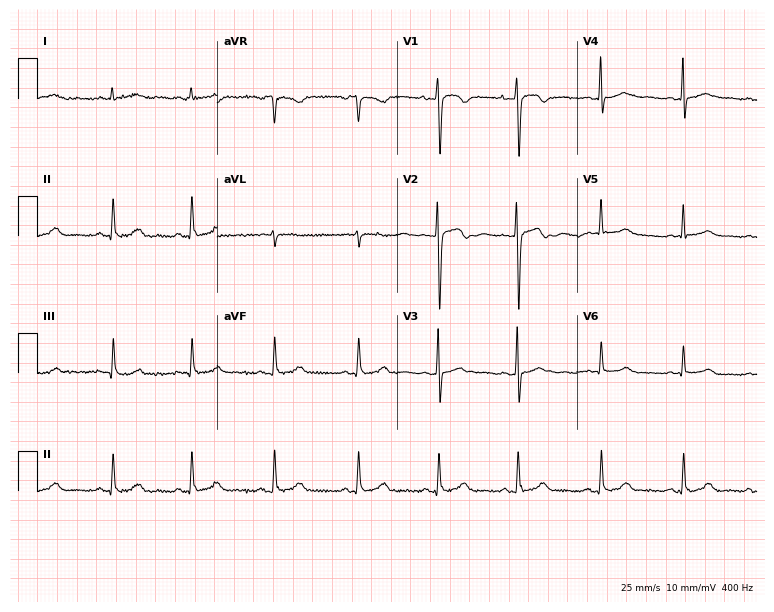
Electrocardiogram (7.3-second recording at 400 Hz), a 34-year-old female patient. Overall reading on record: normal ECG.